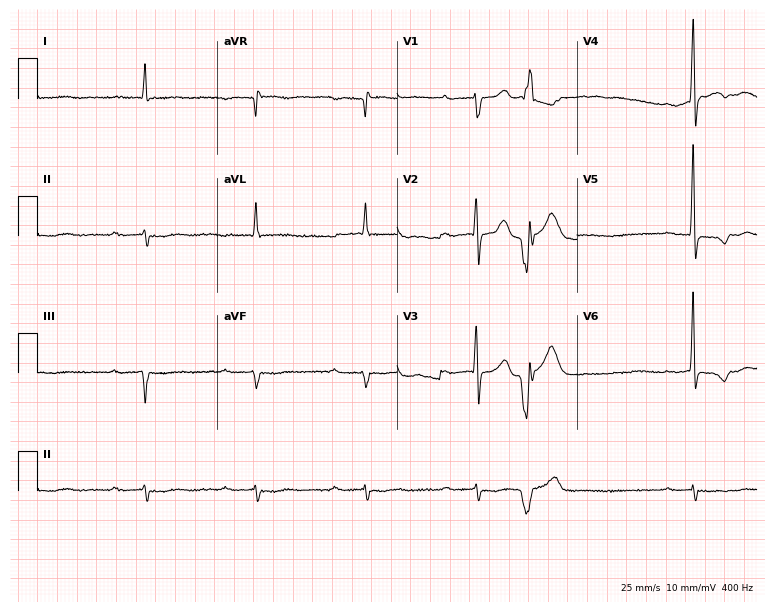
12-lead ECG from a 78-year-old man. No first-degree AV block, right bundle branch block, left bundle branch block, sinus bradycardia, atrial fibrillation or sinus tachycardia recorded for this tracing.